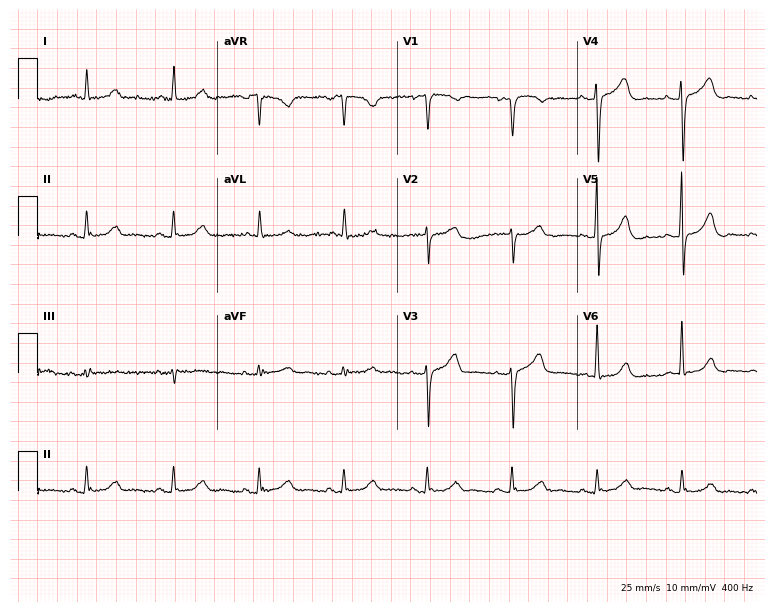
12-lead ECG from a 68-year-old female (7.3-second recording at 400 Hz). No first-degree AV block, right bundle branch block, left bundle branch block, sinus bradycardia, atrial fibrillation or sinus tachycardia recorded for this tracing.